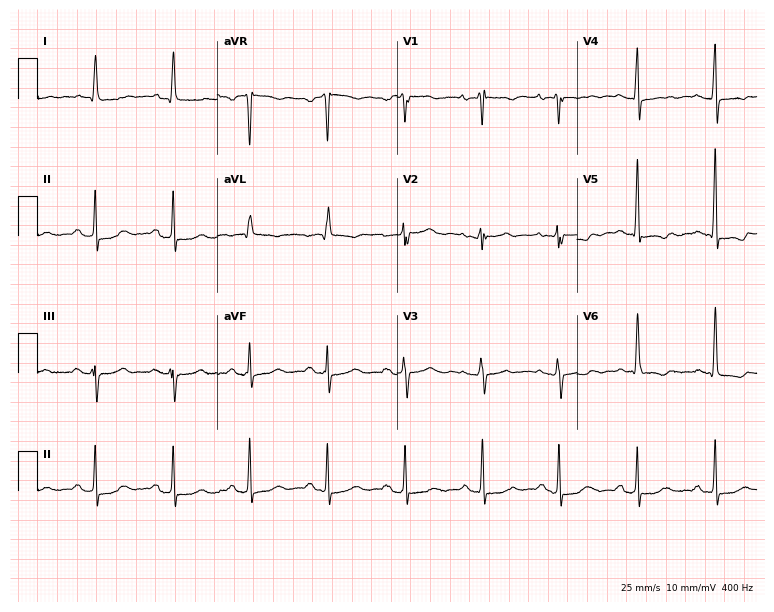
12-lead ECG from a female patient, 84 years old. Screened for six findings — first-degree AV block, right bundle branch block, left bundle branch block, sinus bradycardia, atrial fibrillation, sinus tachycardia — none is recorded.